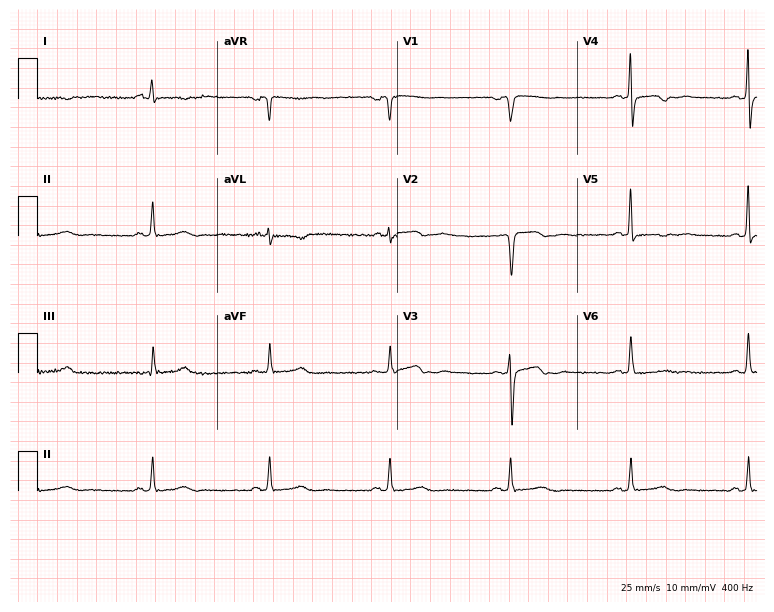
Electrocardiogram, a female patient, 56 years old. Interpretation includes sinus bradycardia (a sinus rate of 50 beats per minute or less).